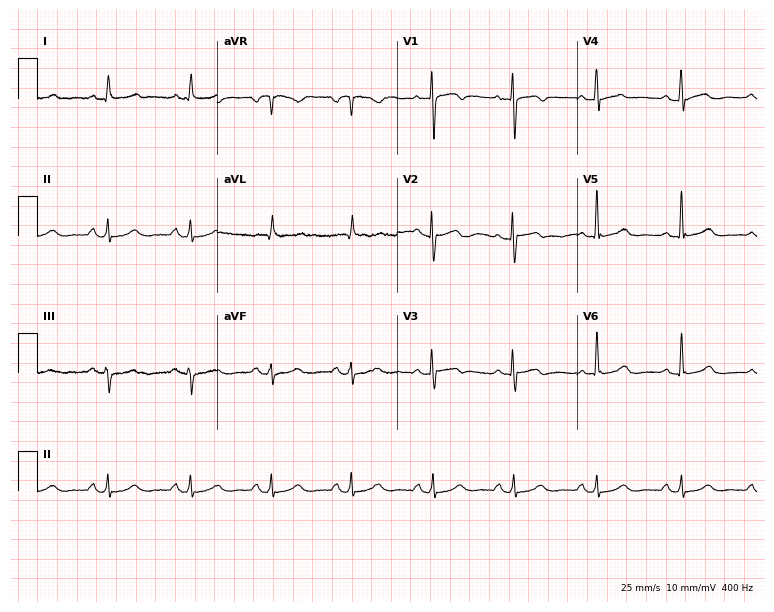
Electrocardiogram (7.3-second recording at 400 Hz), a 76-year-old female. Of the six screened findings (first-degree AV block, right bundle branch block, left bundle branch block, sinus bradycardia, atrial fibrillation, sinus tachycardia), none is recorded.